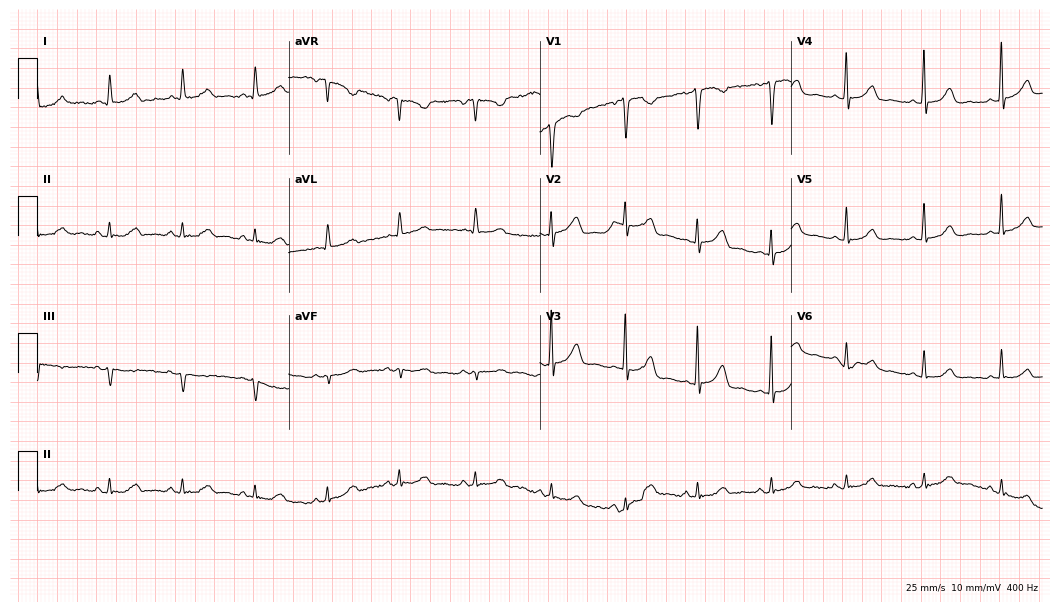
Resting 12-lead electrocardiogram (10.2-second recording at 400 Hz). Patient: a female, 36 years old. Read as a normal ECG.